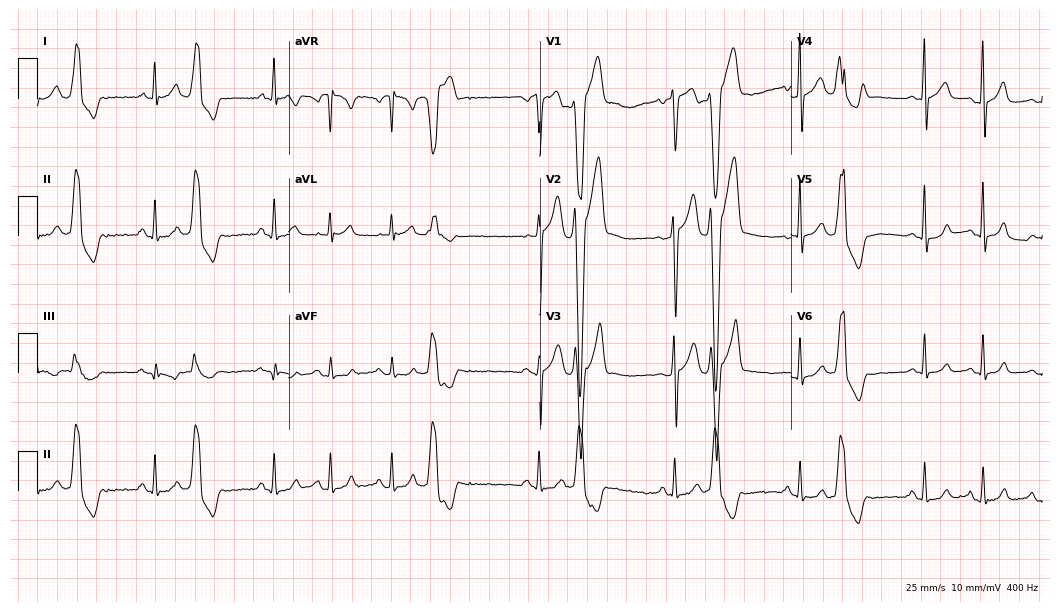
Resting 12-lead electrocardiogram. Patient: a 35-year-old man. None of these six findings is recorded: first-degree AV block, right bundle branch block, left bundle branch block, sinus bradycardia, atrial fibrillation, sinus tachycardia. Only these six findings were labelled.